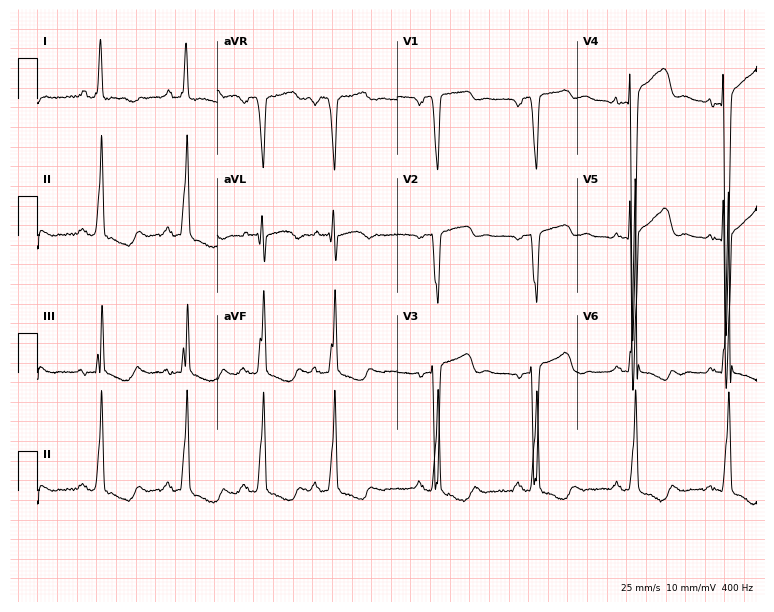
Resting 12-lead electrocardiogram (7.3-second recording at 400 Hz). Patient: a 66-year-old woman. The tracing shows left bundle branch block.